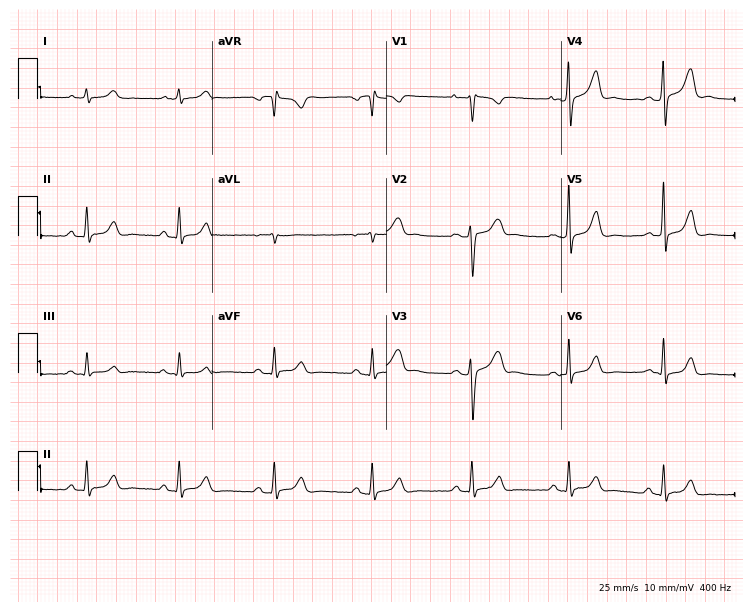
12-lead ECG from a 37-year-old woman. Screened for six findings — first-degree AV block, right bundle branch block, left bundle branch block, sinus bradycardia, atrial fibrillation, sinus tachycardia — none is recorded.